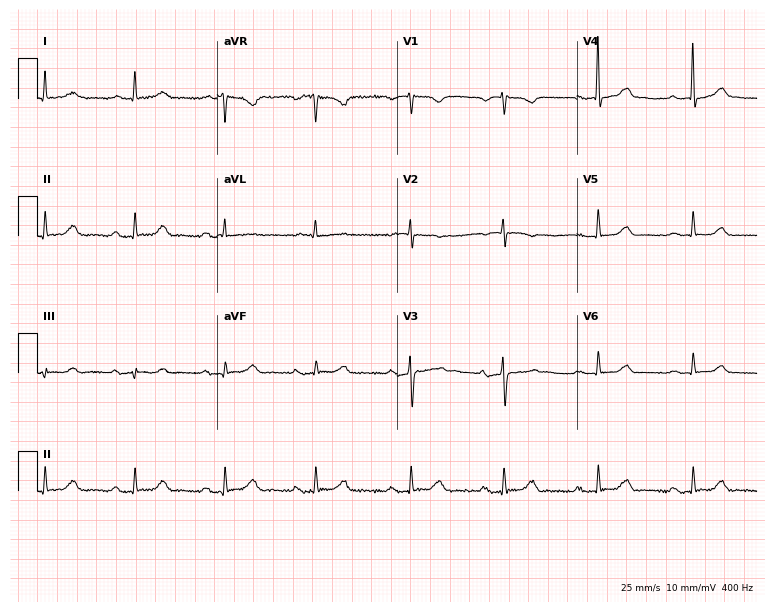
12-lead ECG from a female patient, 80 years old. Screened for six findings — first-degree AV block, right bundle branch block, left bundle branch block, sinus bradycardia, atrial fibrillation, sinus tachycardia — none is recorded. Findings outside these six are not listed.